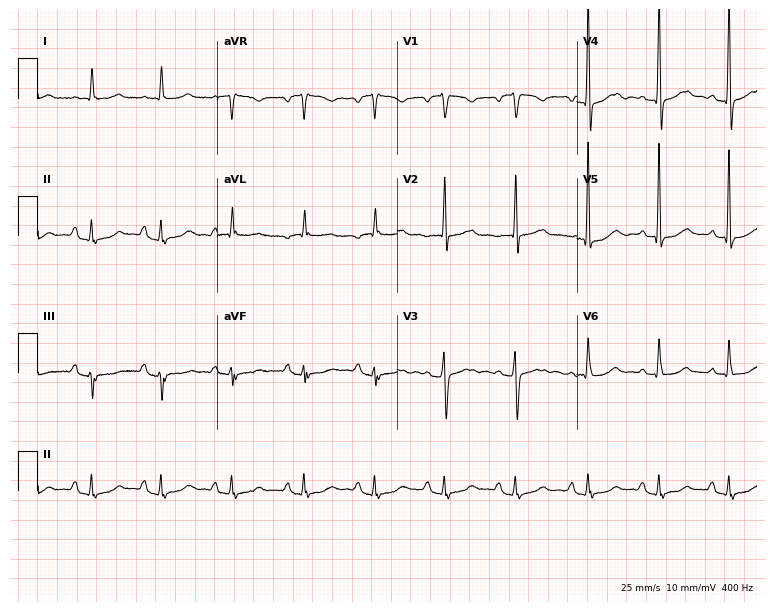
Standard 12-lead ECG recorded from a 79-year-old male. Read as a normal ECG.